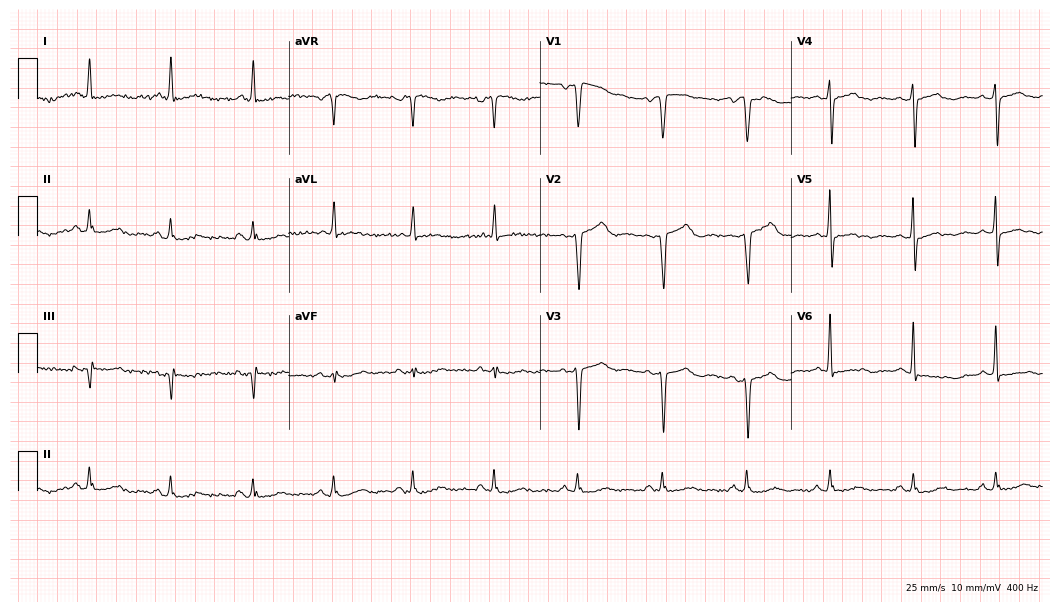
ECG (10.2-second recording at 400 Hz) — a 70-year-old female. Screened for six findings — first-degree AV block, right bundle branch block, left bundle branch block, sinus bradycardia, atrial fibrillation, sinus tachycardia — none is recorded. Only these six findings were labelled.